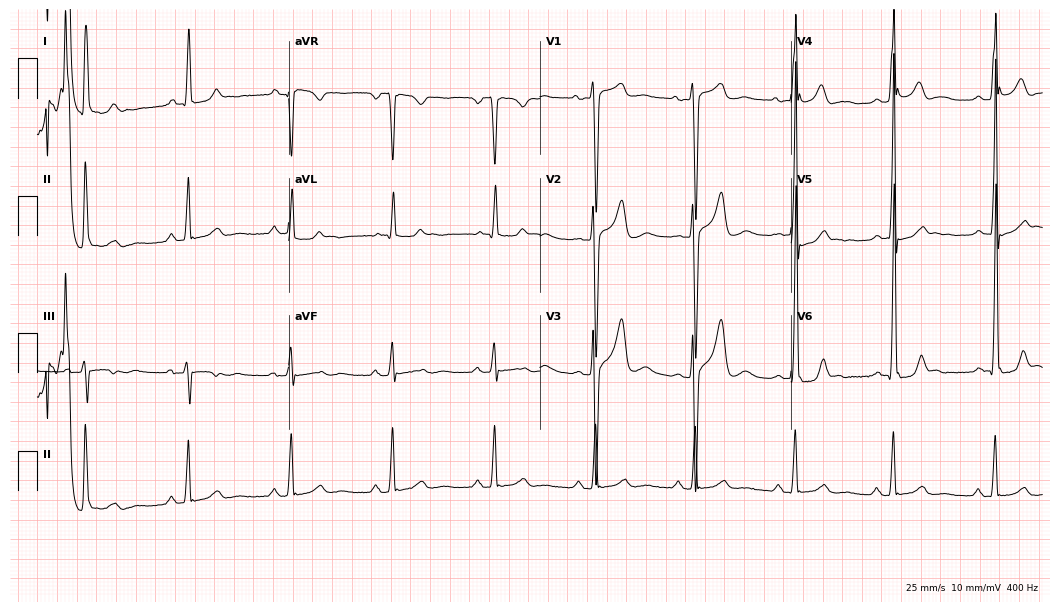
12-lead ECG from a man, 29 years old (10.2-second recording at 400 Hz). No first-degree AV block, right bundle branch block (RBBB), left bundle branch block (LBBB), sinus bradycardia, atrial fibrillation (AF) or sinus tachycardia recorded for this tracing.